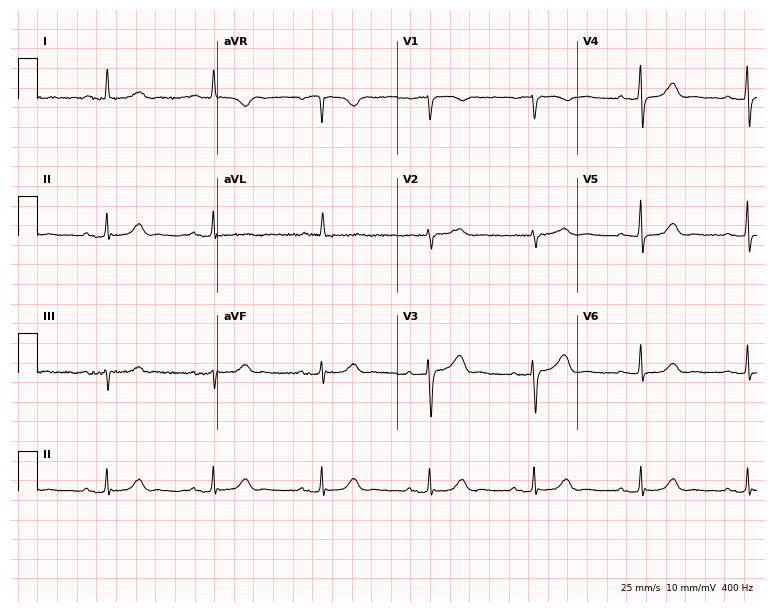
Standard 12-lead ECG recorded from a woman, 75 years old (7.3-second recording at 400 Hz). Read as a normal ECG.